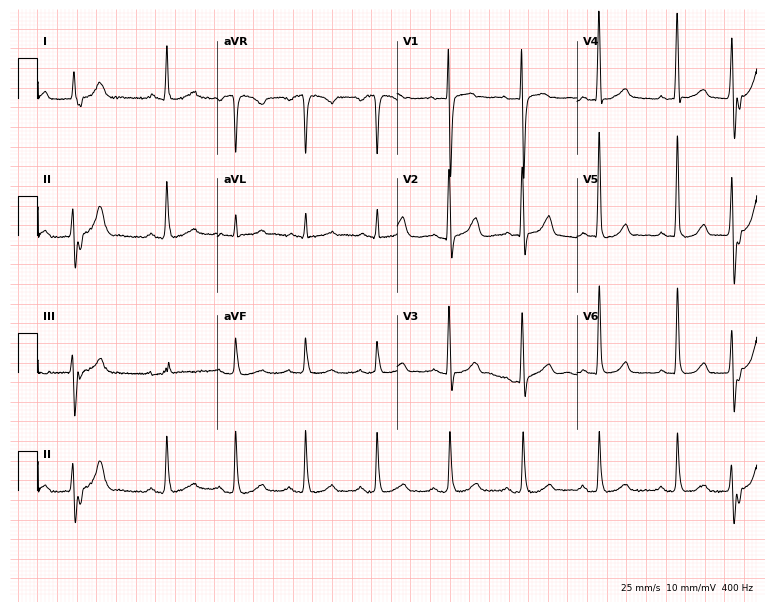
ECG — an 85-year-old female patient. Labelled as a normal ECG.